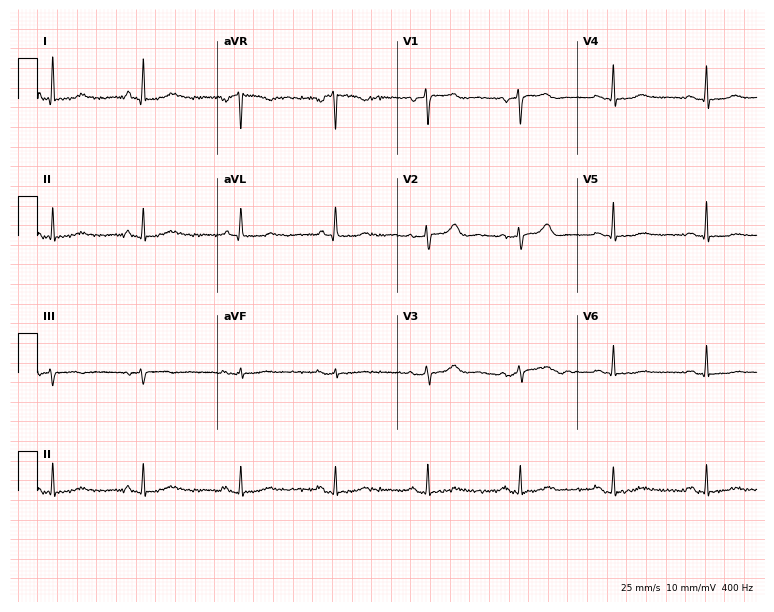
Electrocardiogram, a 68-year-old woman. Of the six screened findings (first-degree AV block, right bundle branch block (RBBB), left bundle branch block (LBBB), sinus bradycardia, atrial fibrillation (AF), sinus tachycardia), none is recorded.